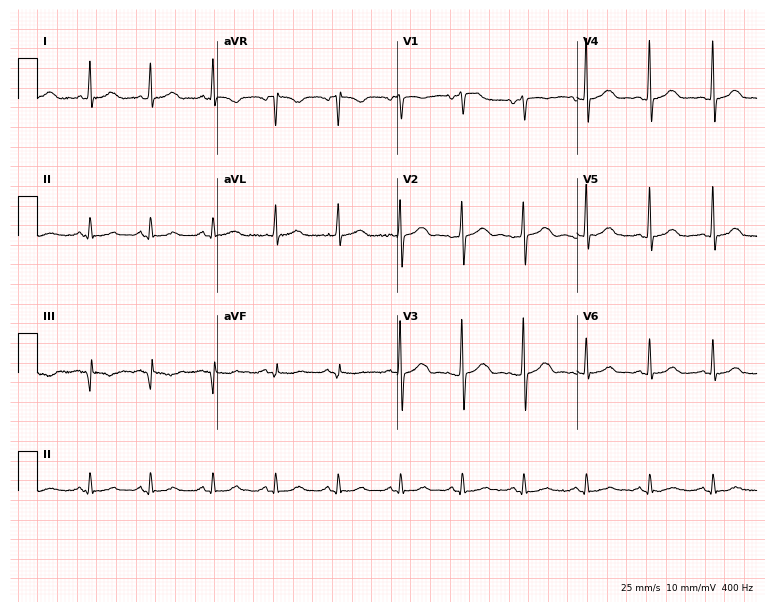
ECG — a 48-year-old female. Labelled as a normal ECG.